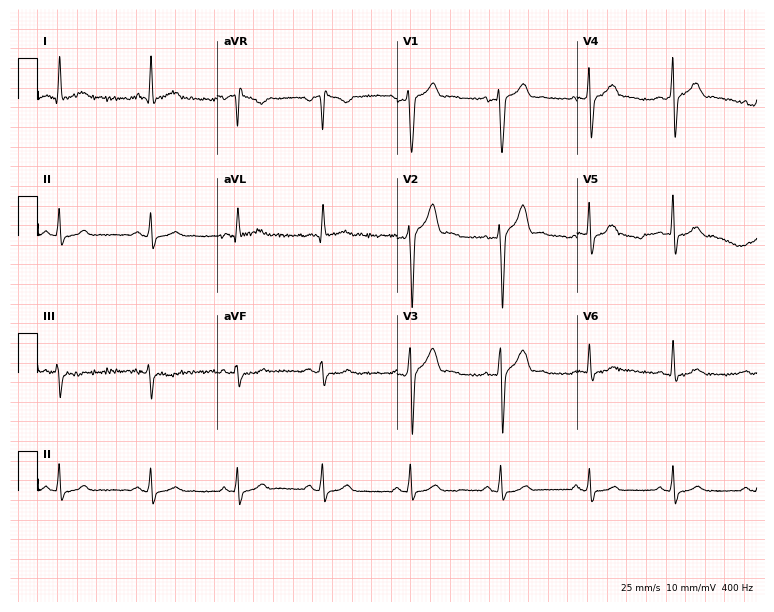
12-lead ECG from a 35-year-old male patient. Screened for six findings — first-degree AV block, right bundle branch block (RBBB), left bundle branch block (LBBB), sinus bradycardia, atrial fibrillation (AF), sinus tachycardia — none is recorded.